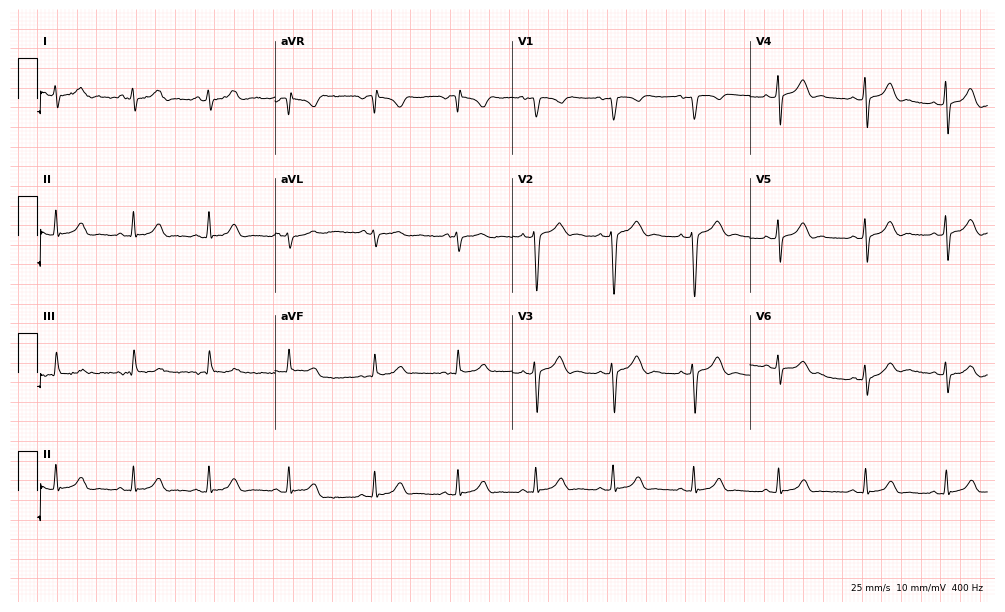
ECG (9.7-second recording at 400 Hz) — a woman, 18 years old. Labelled as a normal ECG.